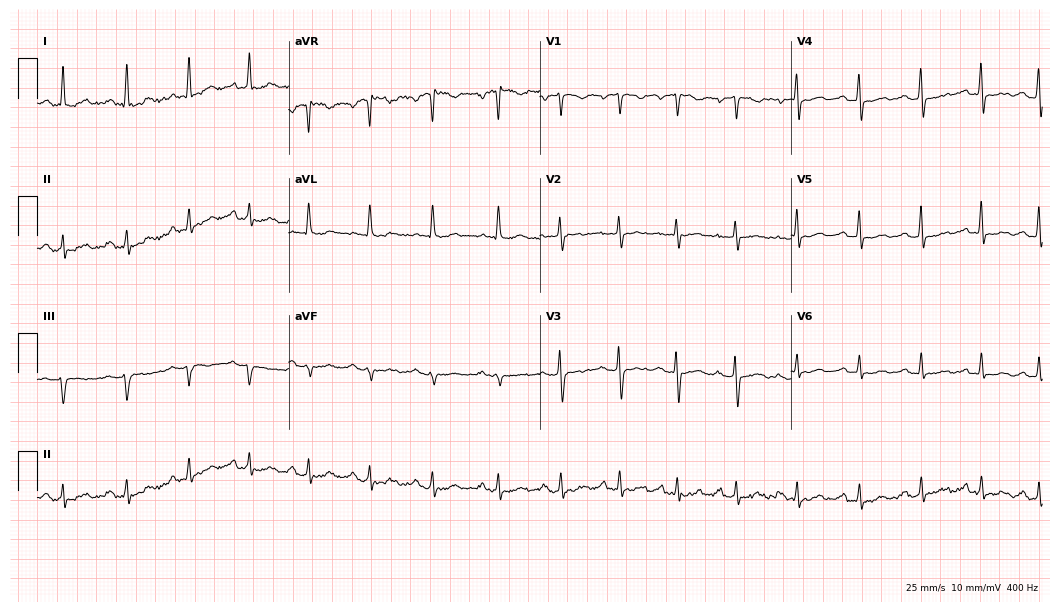
Standard 12-lead ECG recorded from a 49-year-old female. None of these six findings is recorded: first-degree AV block, right bundle branch block, left bundle branch block, sinus bradycardia, atrial fibrillation, sinus tachycardia. Only these six findings were labelled.